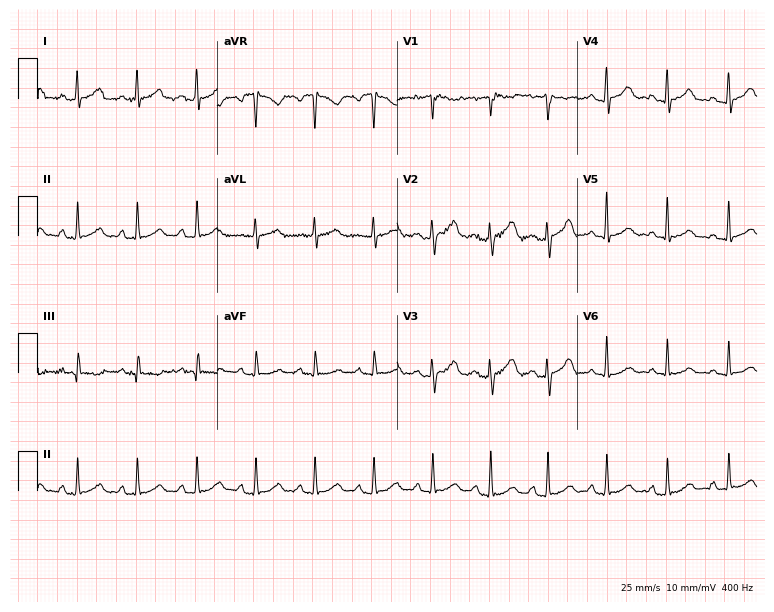
12-lead ECG (7.3-second recording at 400 Hz) from a female patient, 42 years old. Screened for six findings — first-degree AV block, right bundle branch block (RBBB), left bundle branch block (LBBB), sinus bradycardia, atrial fibrillation (AF), sinus tachycardia — none is recorded.